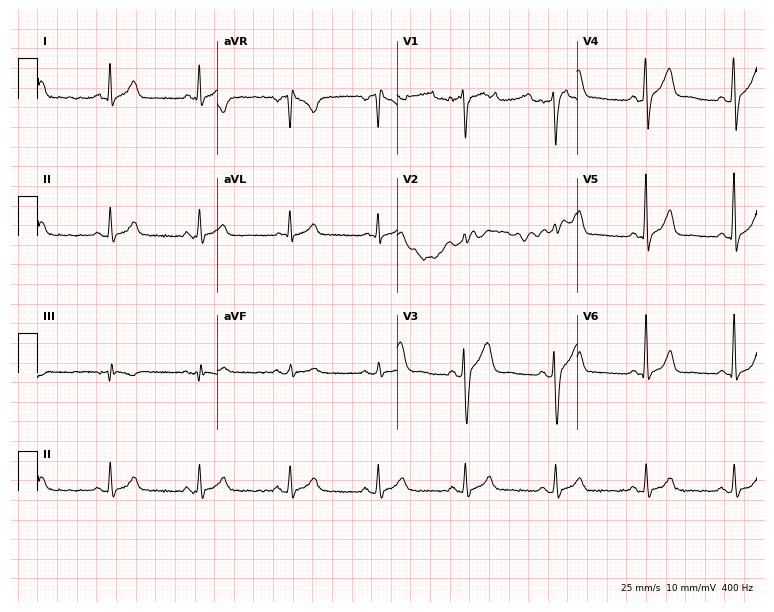
ECG (7.3-second recording at 400 Hz) — a 36-year-old male patient. Labelled as a normal ECG.